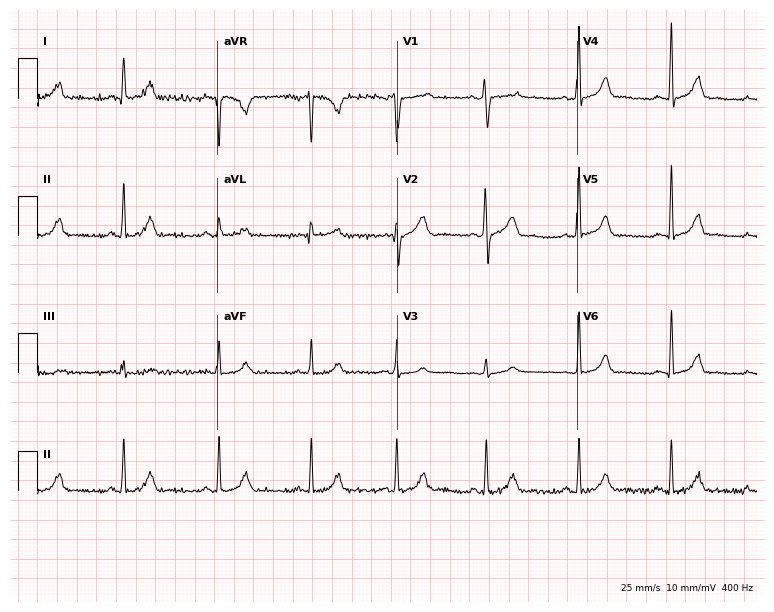
12-lead ECG from a woman, 29 years old (7.3-second recording at 400 Hz). Recorded interpretation: within normal limits.